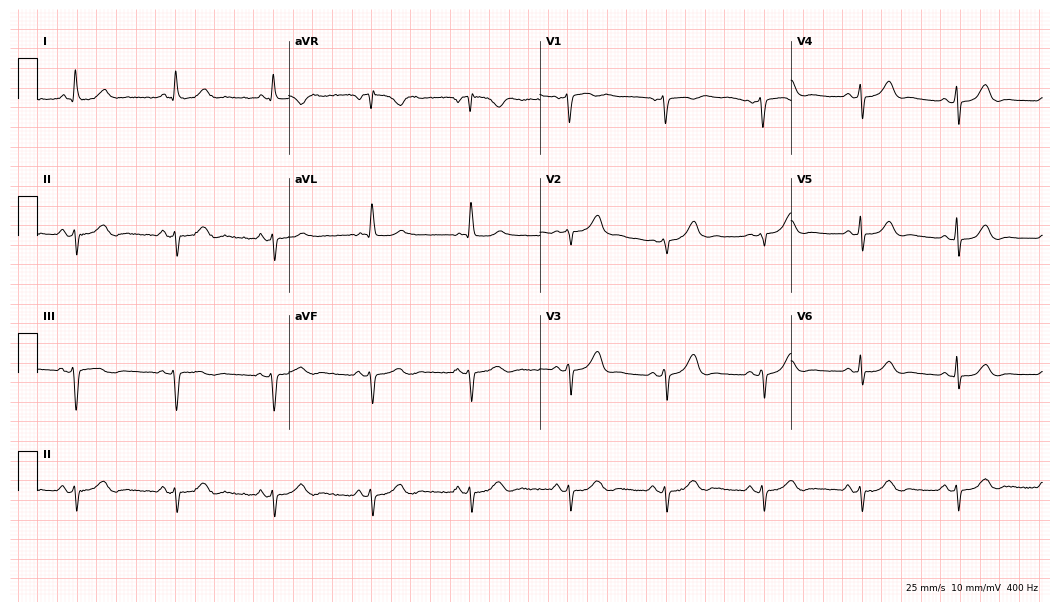
Resting 12-lead electrocardiogram (10.2-second recording at 400 Hz). Patient: a female, 53 years old. None of these six findings is recorded: first-degree AV block, right bundle branch block, left bundle branch block, sinus bradycardia, atrial fibrillation, sinus tachycardia. Findings outside these six are not listed.